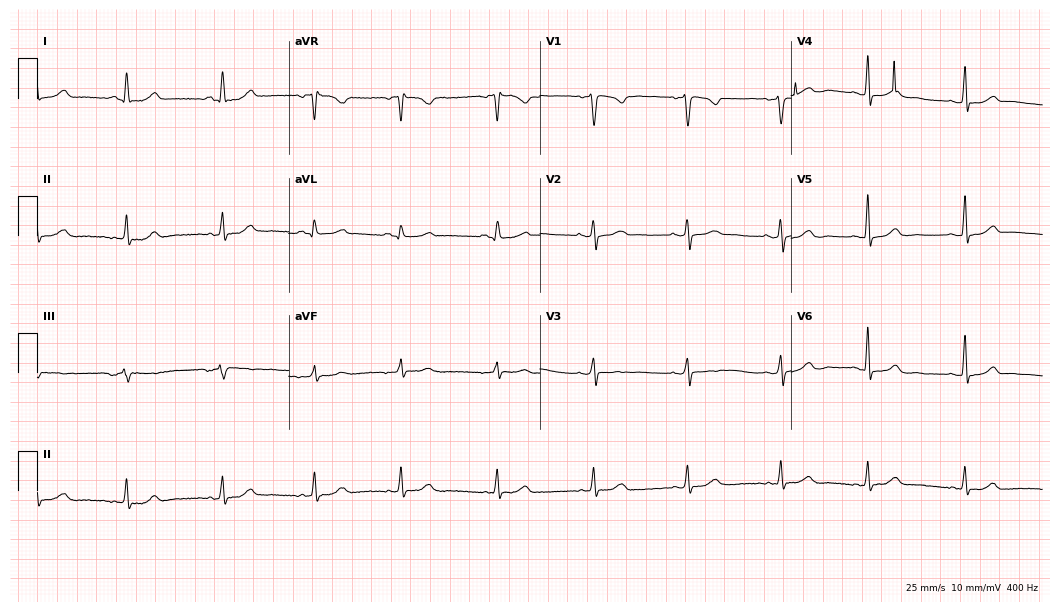
12-lead ECG from a female patient, 39 years old (10.2-second recording at 400 Hz). Recorded interpretation: within normal limits.